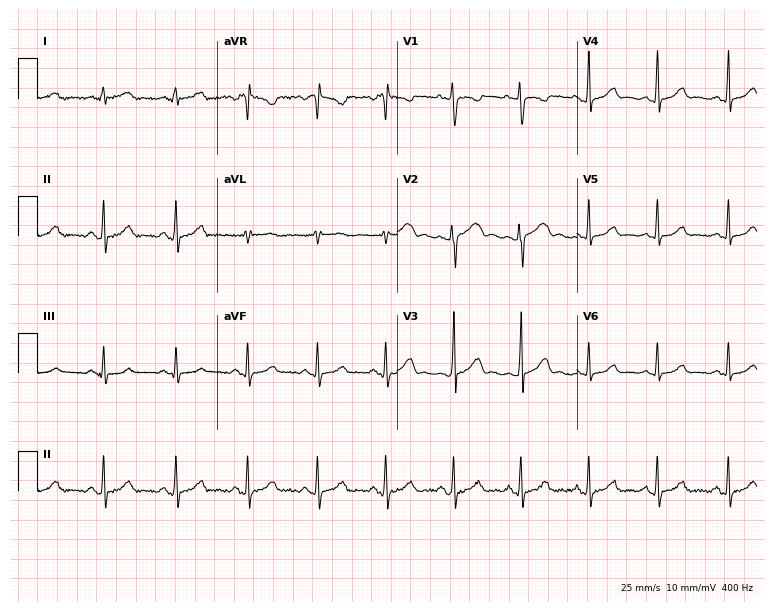
12-lead ECG from a female patient, 18 years old (7.3-second recording at 400 Hz). No first-degree AV block, right bundle branch block, left bundle branch block, sinus bradycardia, atrial fibrillation or sinus tachycardia recorded for this tracing. Findings outside these six are not listed.